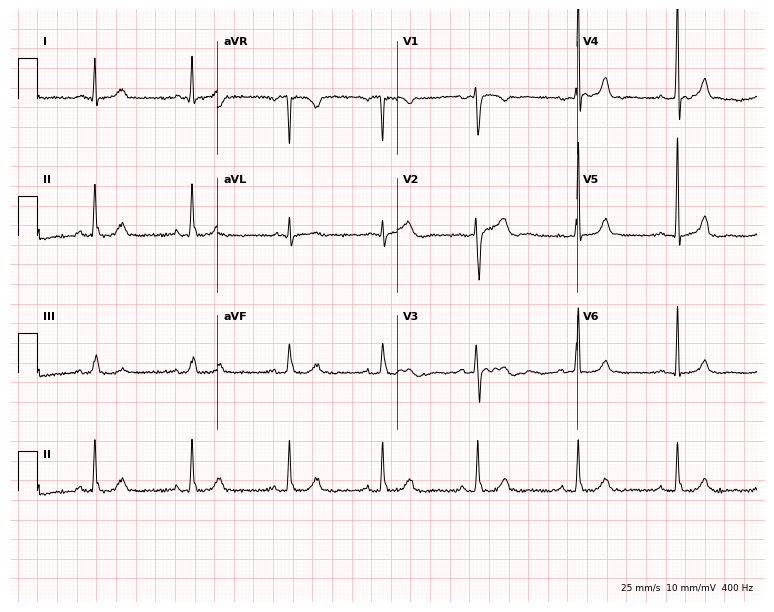
ECG — a 61-year-old female patient. Labelled as a normal ECG.